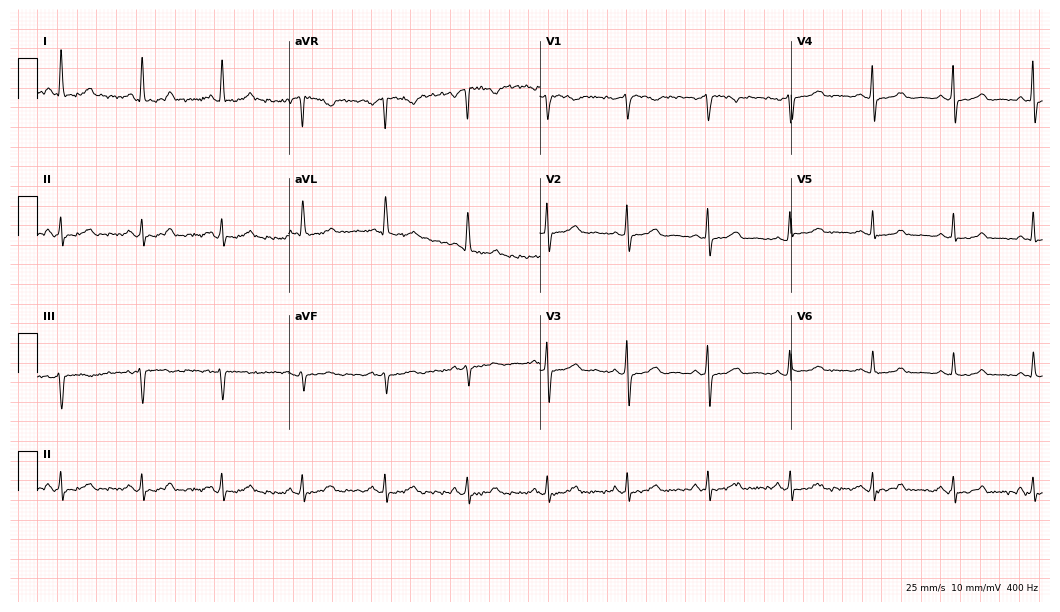
Resting 12-lead electrocardiogram (10.2-second recording at 400 Hz). Patient: a woman, 51 years old. Read as a normal ECG.